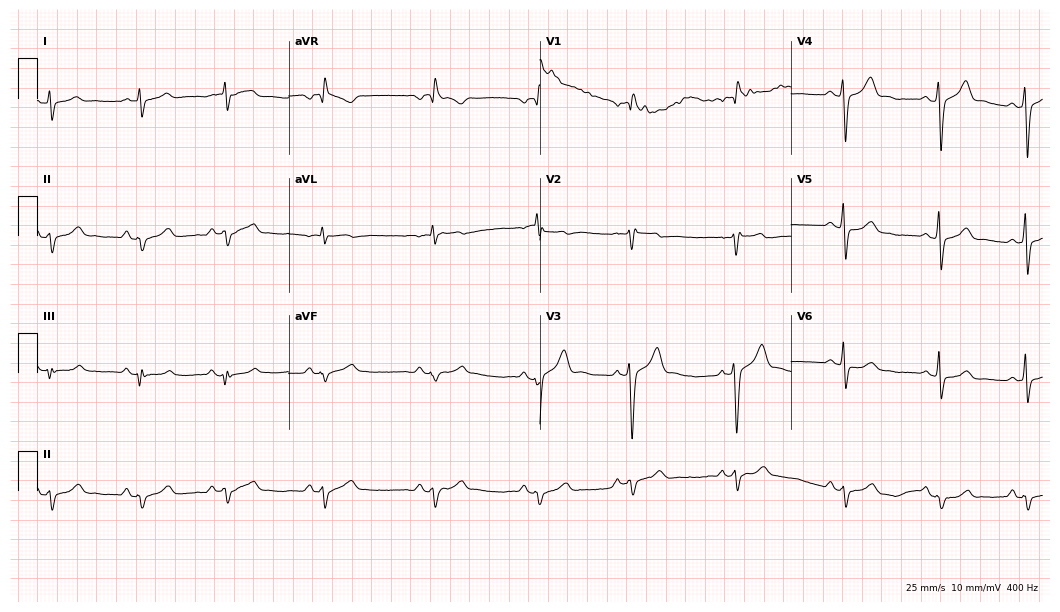
Electrocardiogram, a male, 26 years old. Of the six screened findings (first-degree AV block, right bundle branch block (RBBB), left bundle branch block (LBBB), sinus bradycardia, atrial fibrillation (AF), sinus tachycardia), none is recorded.